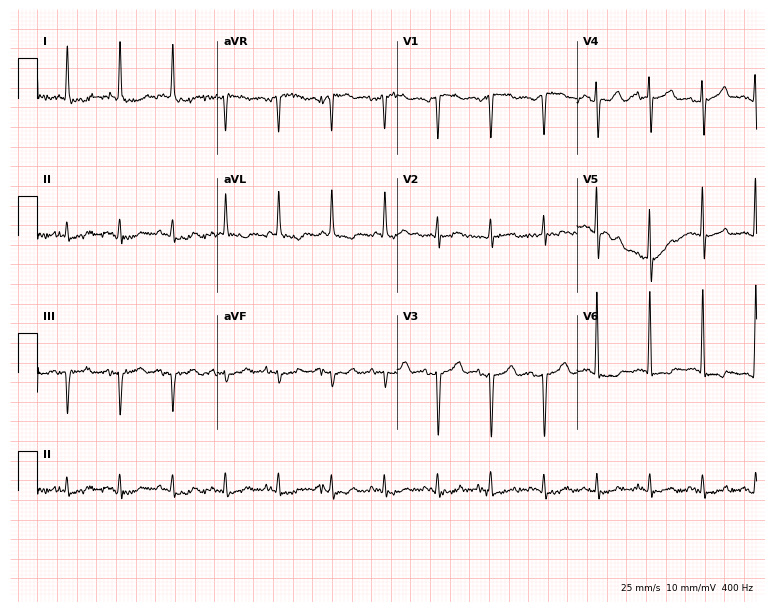
Electrocardiogram, a 72-year-old man. Interpretation includes sinus tachycardia (a sinus rate of 100 beats per minute or more).